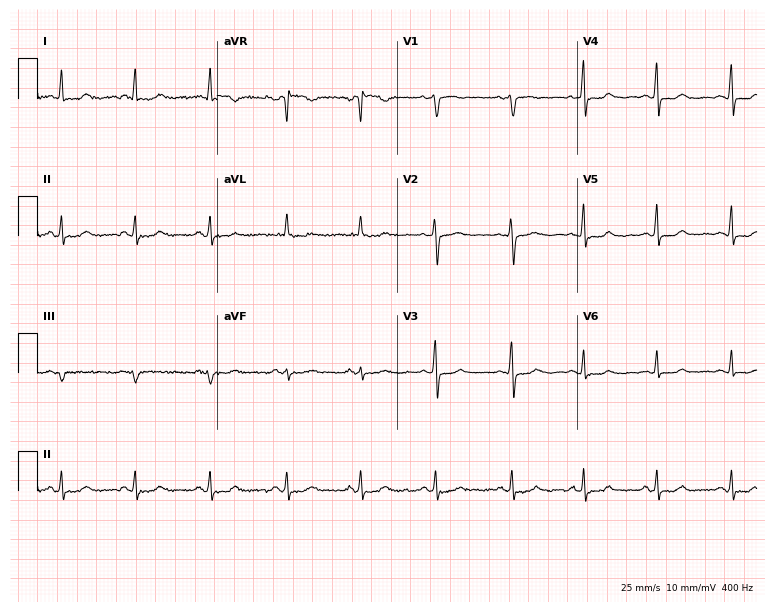
12-lead ECG from a female, 58 years old. Labelled as a normal ECG.